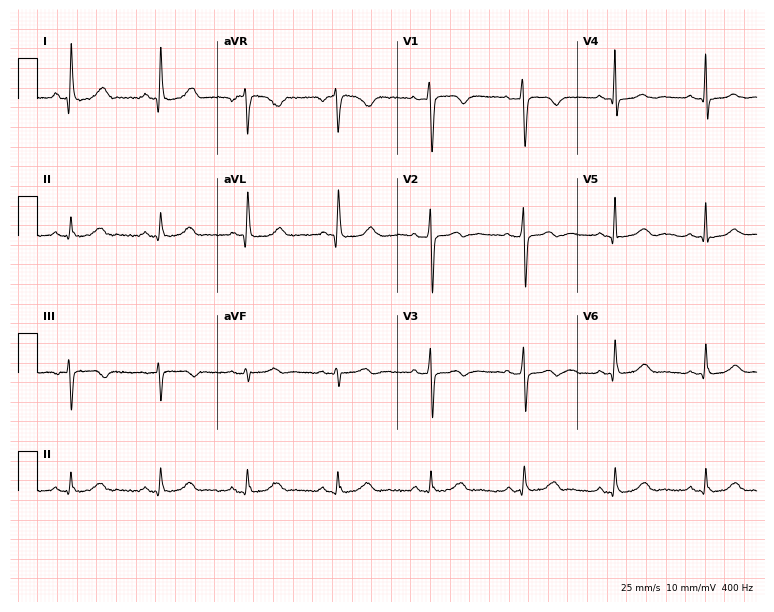
12-lead ECG from a 52-year-old female patient. No first-degree AV block, right bundle branch block, left bundle branch block, sinus bradycardia, atrial fibrillation or sinus tachycardia recorded for this tracing. Only these six findings were labelled.